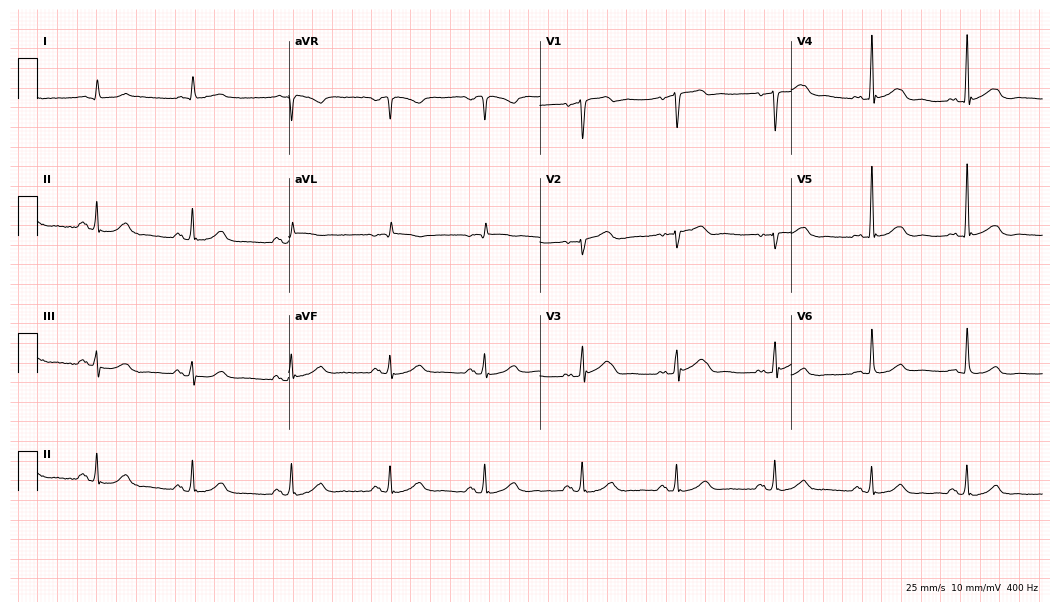
12-lead ECG from a 60-year-old male patient. Labelled as a normal ECG.